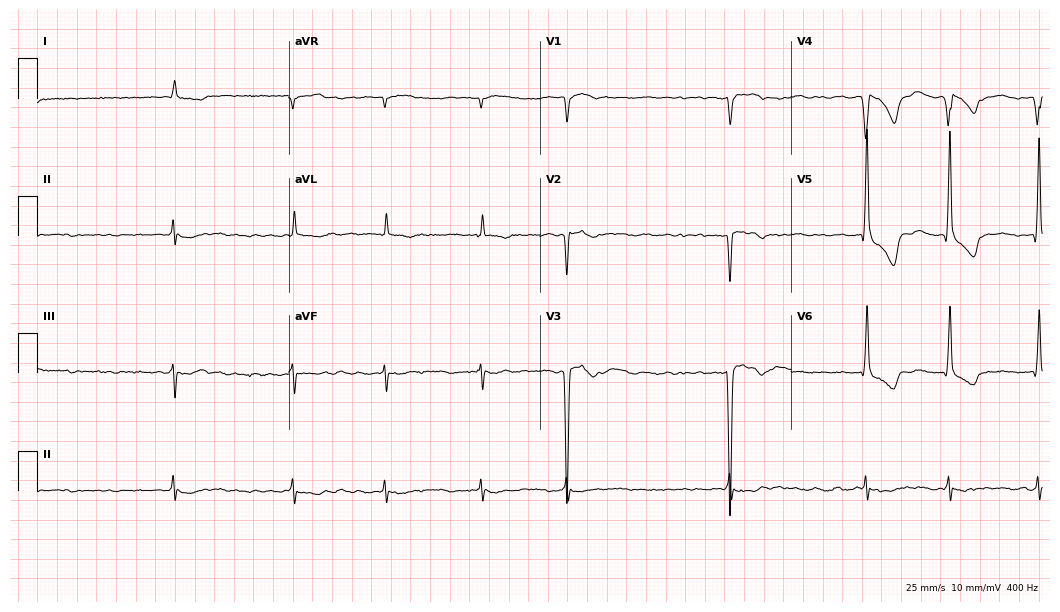
Standard 12-lead ECG recorded from a 69-year-old male. The tracing shows atrial fibrillation (AF).